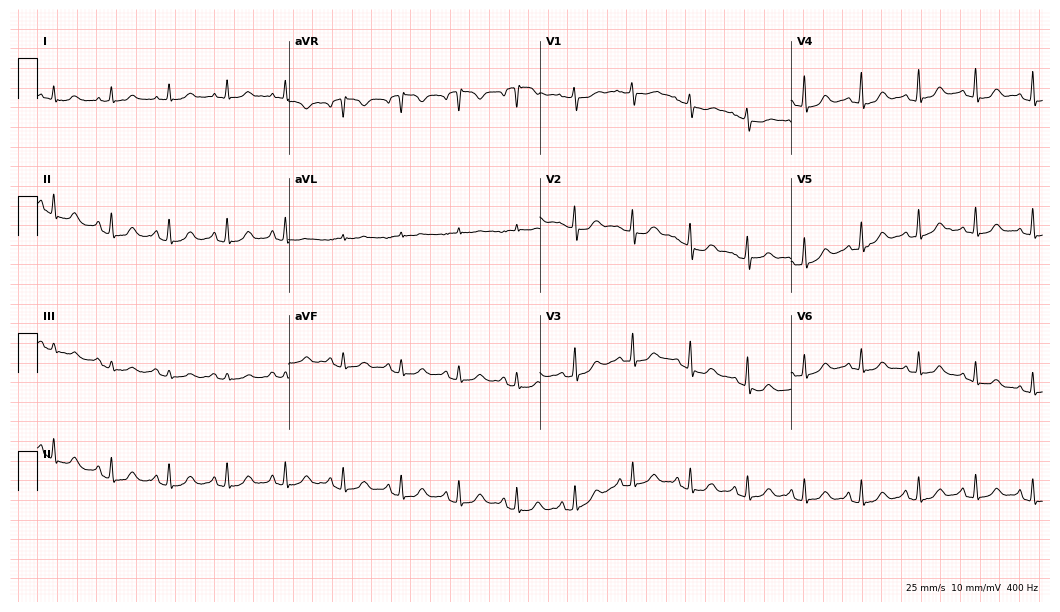
Electrocardiogram (10.2-second recording at 400 Hz), a female, 60 years old. Overall reading on record: normal ECG.